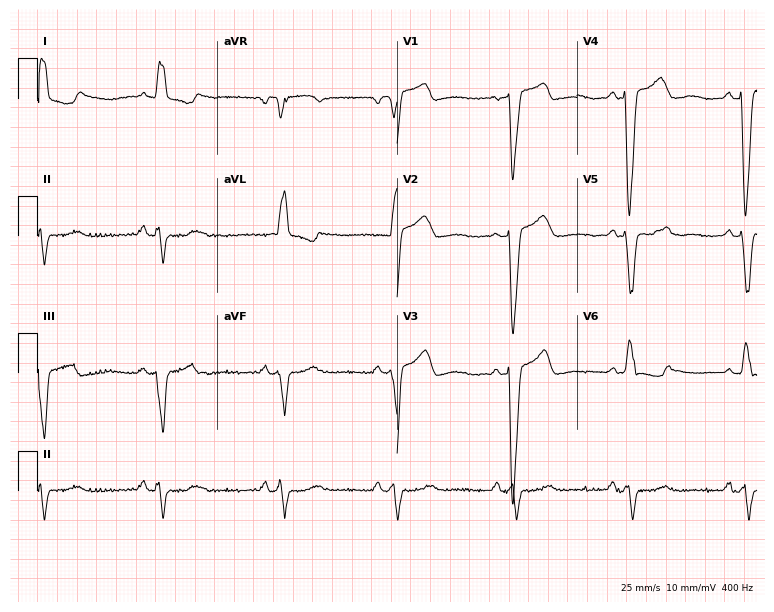
Electrocardiogram, a female patient, 78 years old. Interpretation includes left bundle branch block.